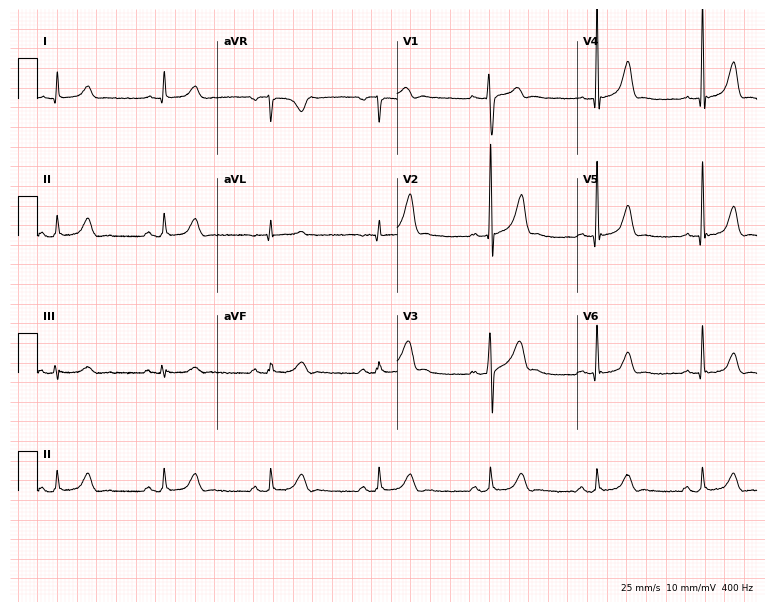
12-lead ECG from a male patient, 39 years old. Labelled as a normal ECG.